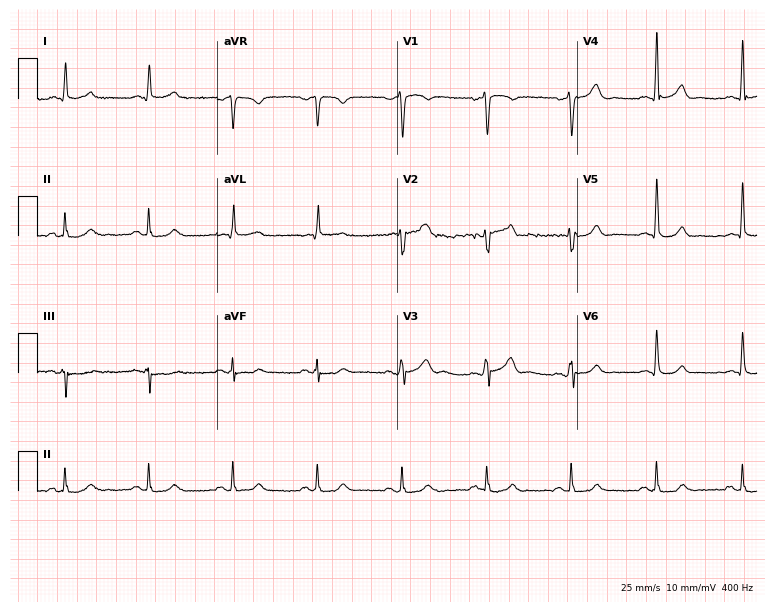
Resting 12-lead electrocardiogram (7.3-second recording at 400 Hz). Patient: a male, 68 years old. Read as a normal ECG.